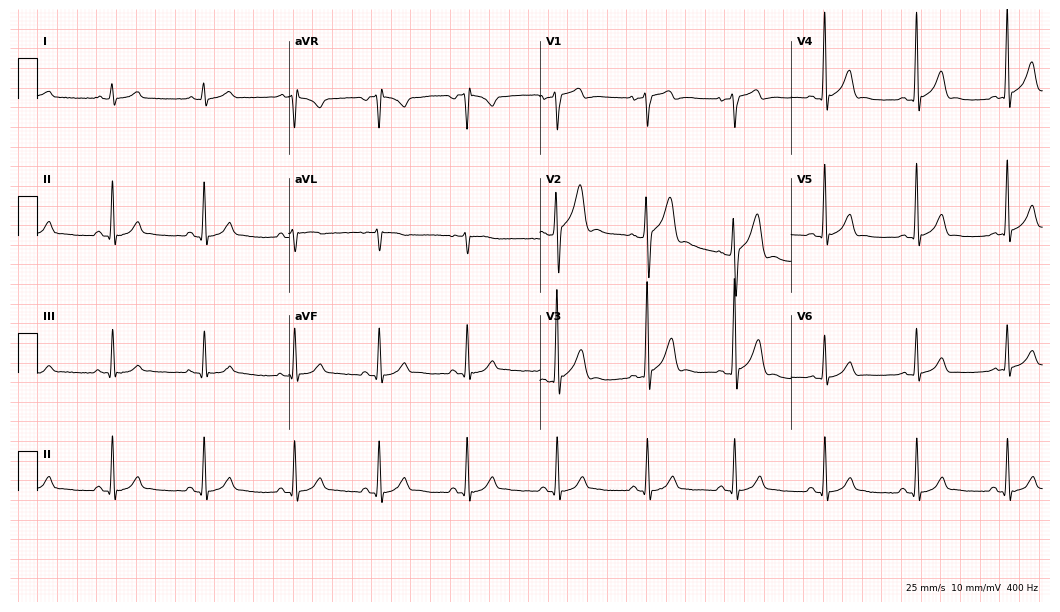
12-lead ECG from a man, 32 years old. Recorded interpretation: within normal limits.